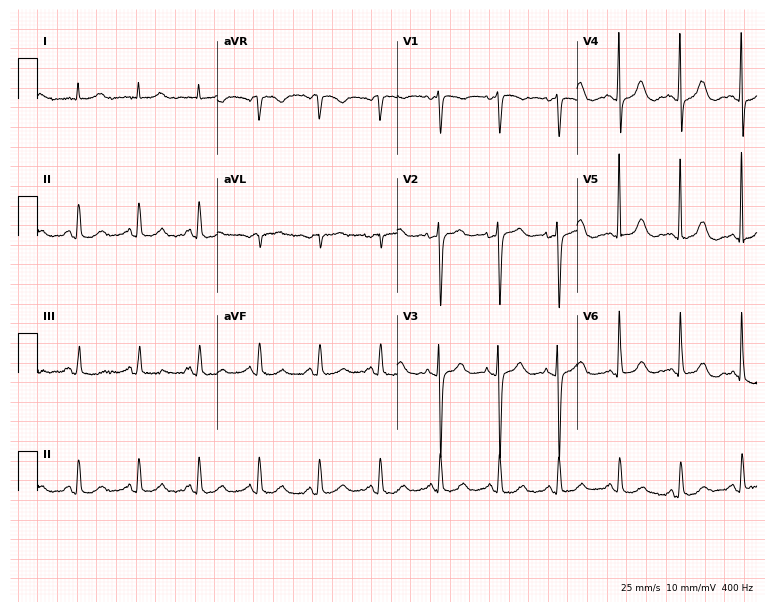
Standard 12-lead ECG recorded from an 84-year-old female (7.3-second recording at 400 Hz). Read as a normal ECG.